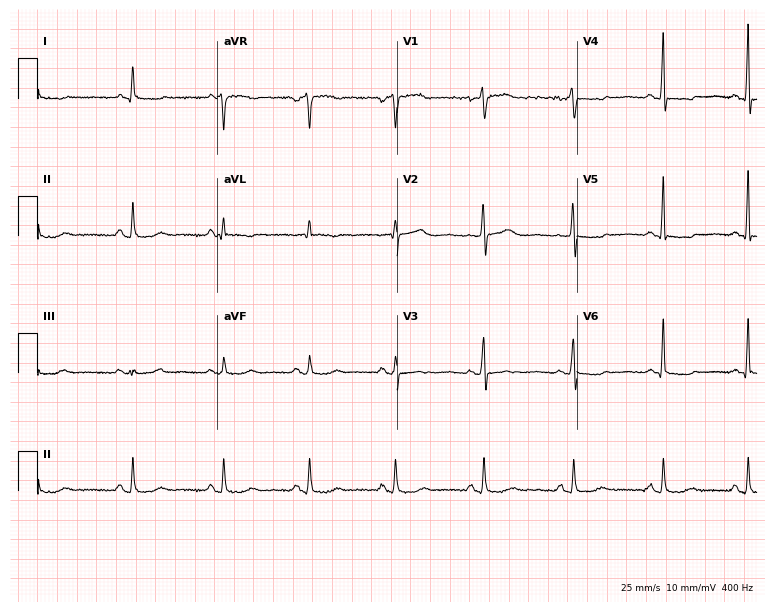
12-lead ECG (7.3-second recording at 400 Hz) from a 64-year-old female. Screened for six findings — first-degree AV block, right bundle branch block, left bundle branch block, sinus bradycardia, atrial fibrillation, sinus tachycardia — none is recorded. Other findings, if any, are not listed.